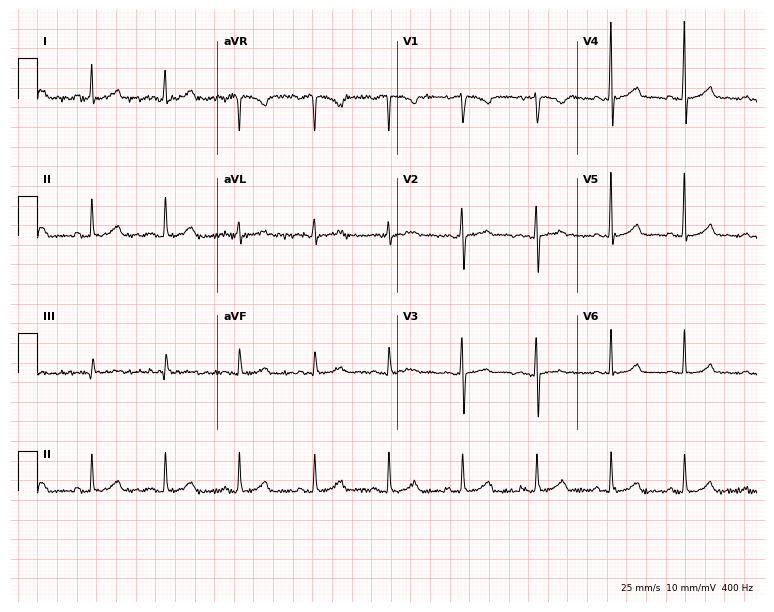
12-lead ECG from a female, 41 years old (7.3-second recording at 400 Hz). No first-degree AV block, right bundle branch block (RBBB), left bundle branch block (LBBB), sinus bradycardia, atrial fibrillation (AF) or sinus tachycardia recorded for this tracing.